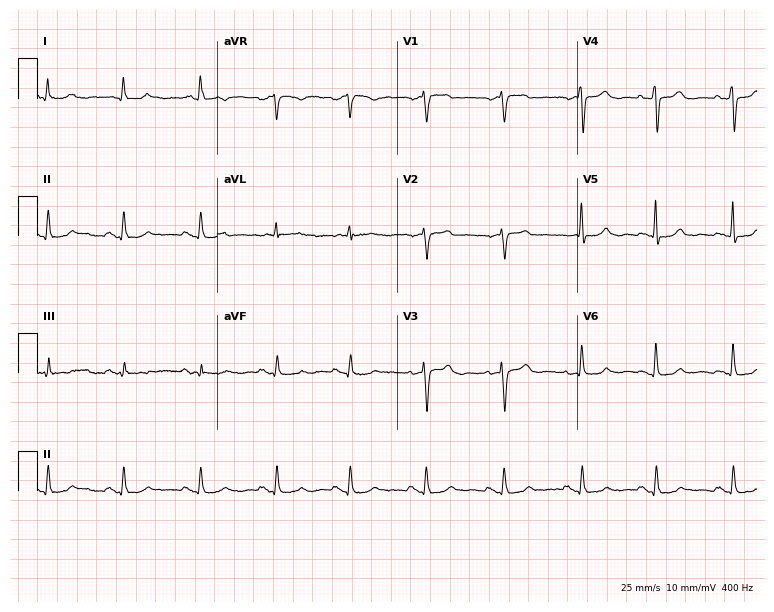
Standard 12-lead ECG recorded from a female, 63 years old (7.3-second recording at 400 Hz). Read as a normal ECG.